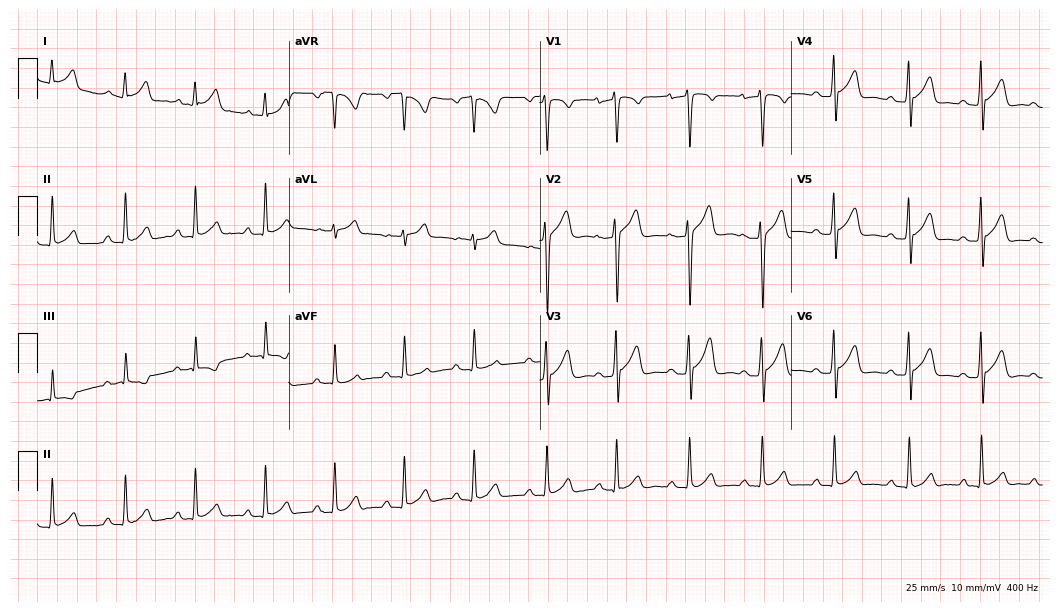
12-lead ECG from a 31-year-old male patient (10.2-second recording at 400 Hz). No first-degree AV block, right bundle branch block, left bundle branch block, sinus bradycardia, atrial fibrillation or sinus tachycardia recorded for this tracing. Other findings, if any, are not listed.